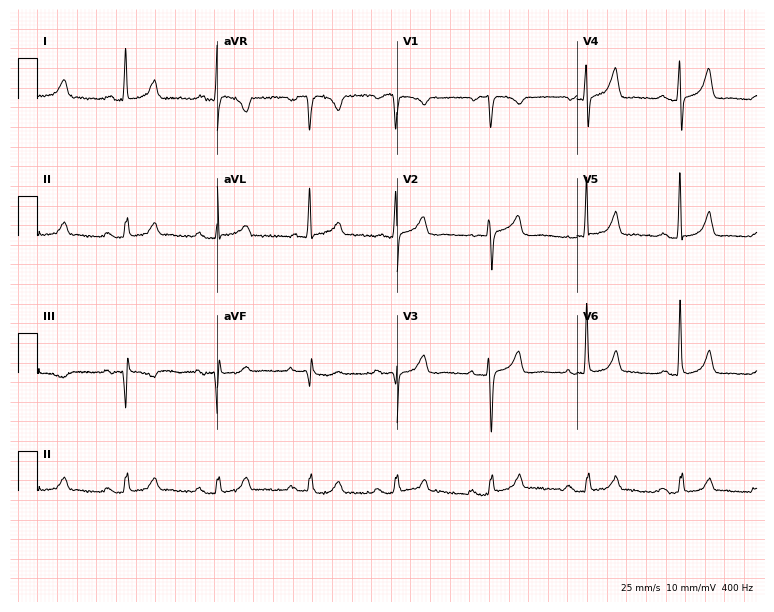
ECG (7.3-second recording at 400 Hz) — a 76-year-old female patient. Screened for six findings — first-degree AV block, right bundle branch block (RBBB), left bundle branch block (LBBB), sinus bradycardia, atrial fibrillation (AF), sinus tachycardia — none is recorded. Findings outside these six are not listed.